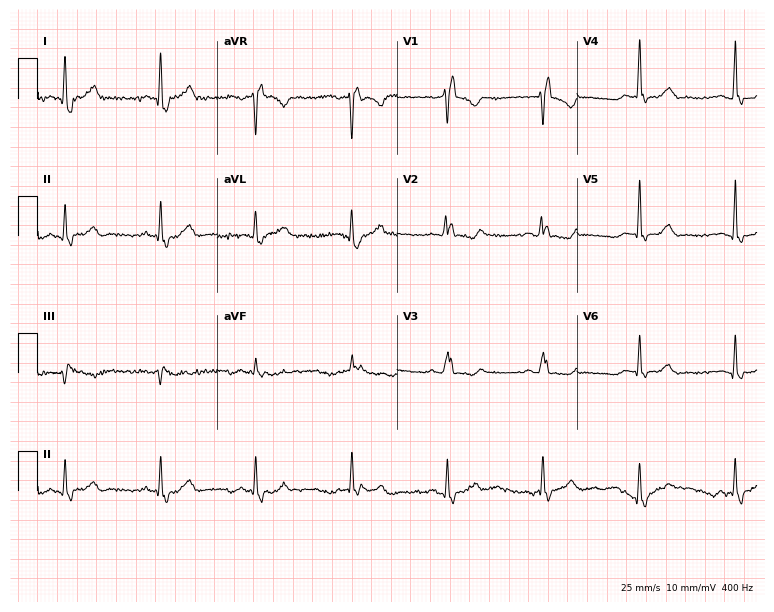
Electrocardiogram (7.3-second recording at 400 Hz), a woman, 51 years old. Interpretation includes right bundle branch block.